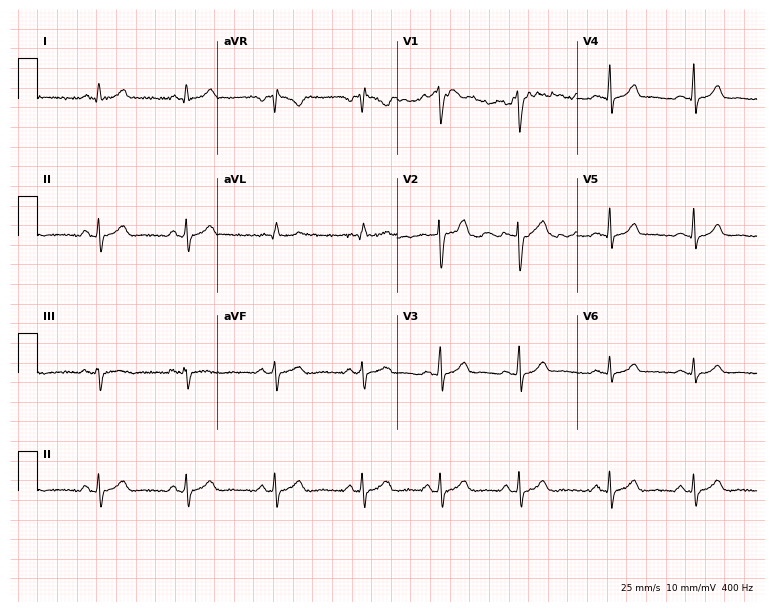
ECG — a 19-year-old female patient. Labelled as a normal ECG.